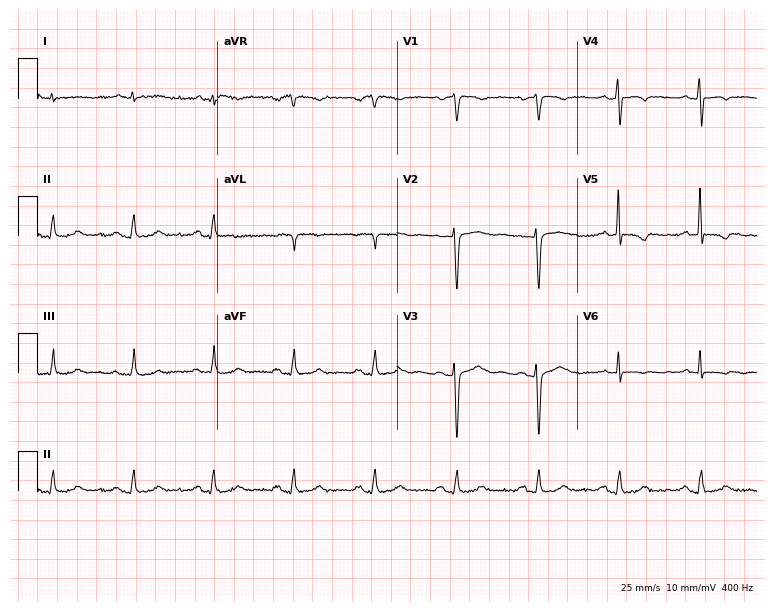
Resting 12-lead electrocardiogram. Patient: a female, 51 years old. None of these six findings is recorded: first-degree AV block, right bundle branch block, left bundle branch block, sinus bradycardia, atrial fibrillation, sinus tachycardia.